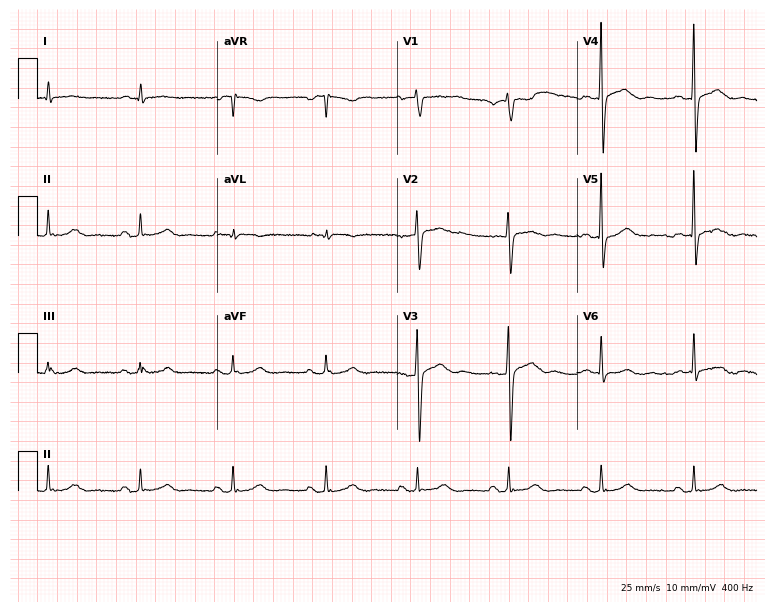
12-lead ECG from a male, 63 years old (7.3-second recording at 400 Hz). No first-degree AV block, right bundle branch block, left bundle branch block, sinus bradycardia, atrial fibrillation or sinus tachycardia recorded for this tracing.